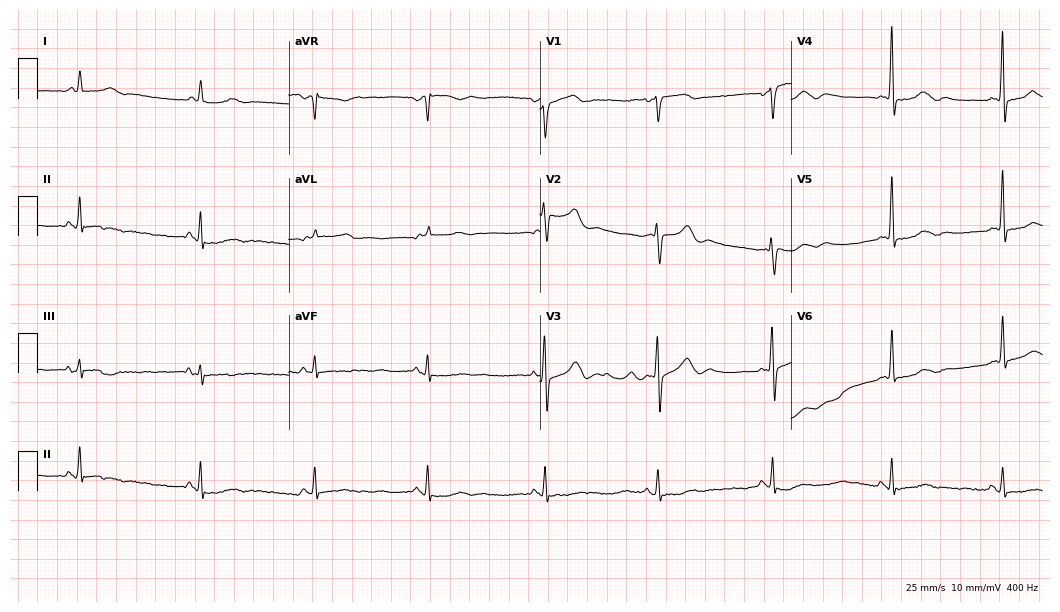
12-lead ECG from a female patient, 75 years old (10.2-second recording at 400 Hz). No first-degree AV block, right bundle branch block, left bundle branch block, sinus bradycardia, atrial fibrillation or sinus tachycardia recorded for this tracing.